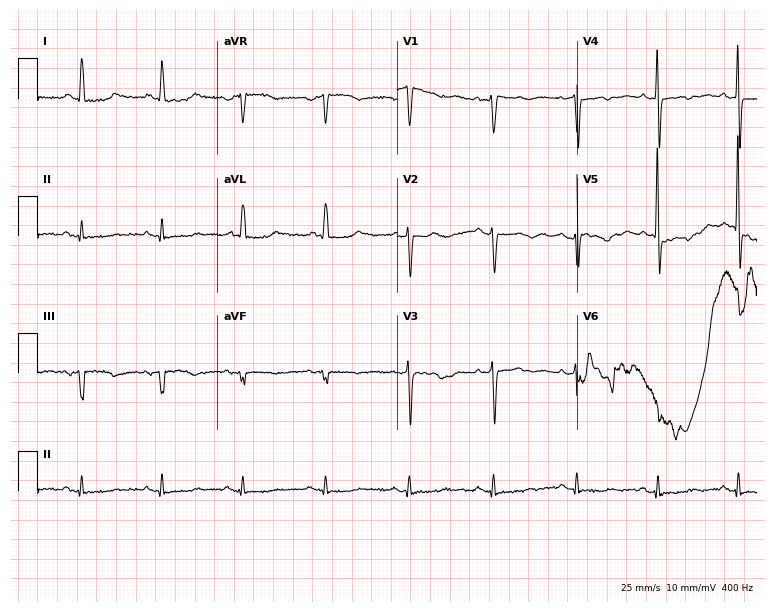
Standard 12-lead ECG recorded from an 80-year-old female (7.3-second recording at 400 Hz). None of these six findings is recorded: first-degree AV block, right bundle branch block (RBBB), left bundle branch block (LBBB), sinus bradycardia, atrial fibrillation (AF), sinus tachycardia.